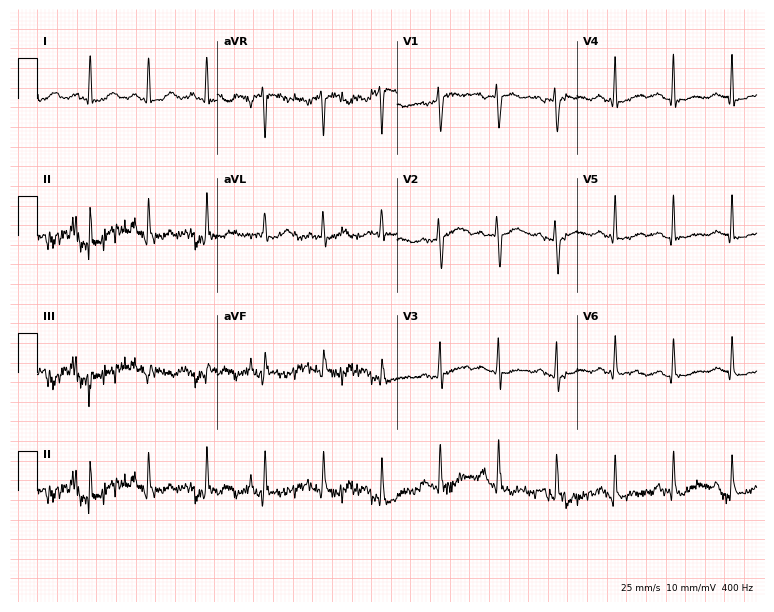
Resting 12-lead electrocardiogram (7.3-second recording at 400 Hz). Patient: a 53-year-old woman. None of these six findings is recorded: first-degree AV block, right bundle branch block, left bundle branch block, sinus bradycardia, atrial fibrillation, sinus tachycardia. Other findings, if any, are not listed.